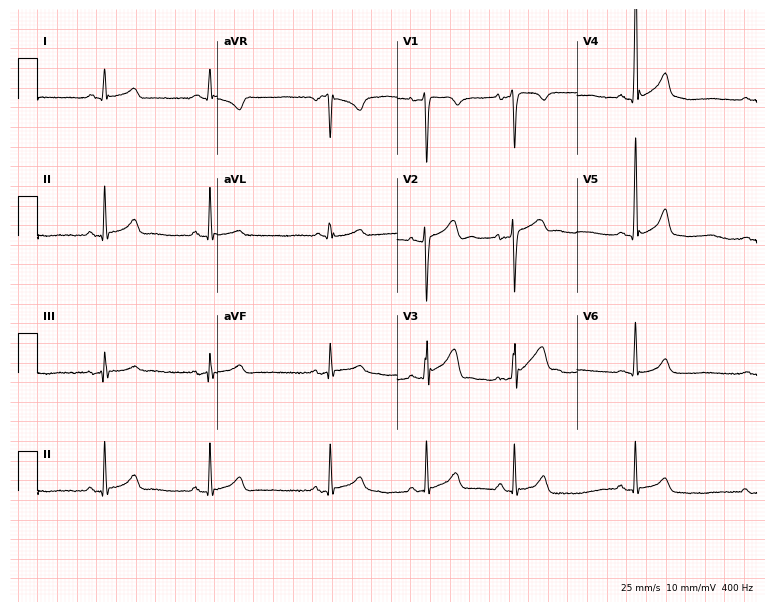
ECG (7.3-second recording at 400 Hz) — a 21-year-old male patient. Screened for six findings — first-degree AV block, right bundle branch block, left bundle branch block, sinus bradycardia, atrial fibrillation, sinus tachycardia — none is recorded.